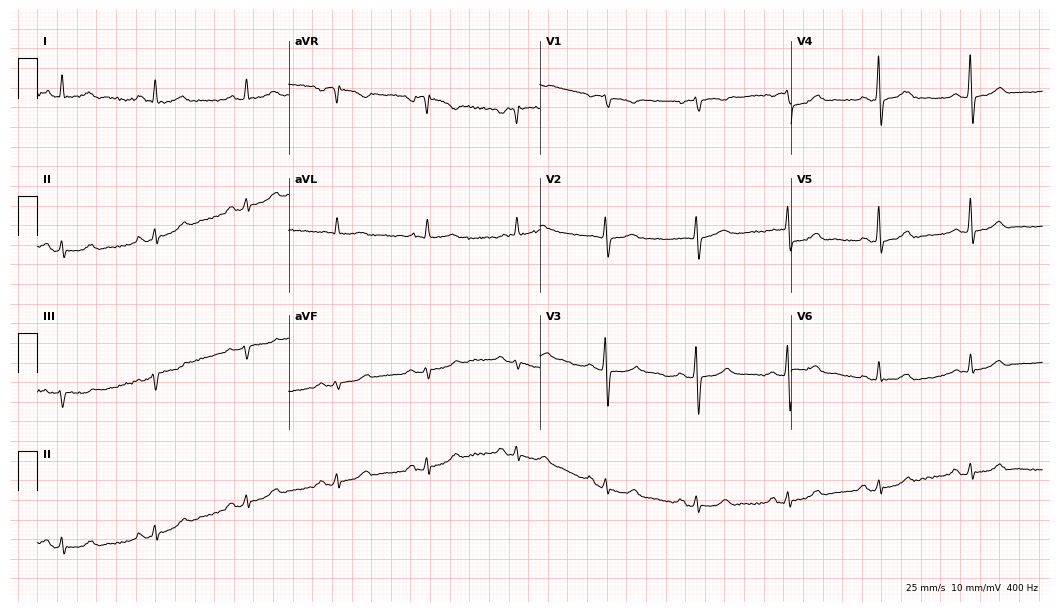
Resting 12-lead electrocardiogram. Patient: a male, 75 years old. None of these six findings is recorded: first-degree AV block, right bundle branch block, left bundle branch block, sinus bradycardia, atrial fibrillation, sinus tachycardia.